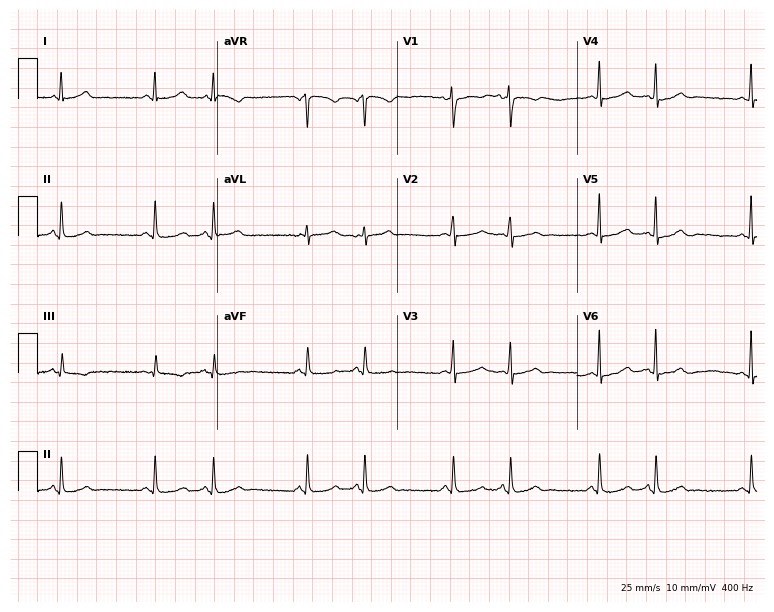
ECG — a 33-year-old female patient. Screened for six findings — first-degree AV block, right bundle branch block, left bundle branch block, sinus bradycardia, atrial fibrillation, sinus tachycardia — none is recorded. Other findings, if any, are not listed.